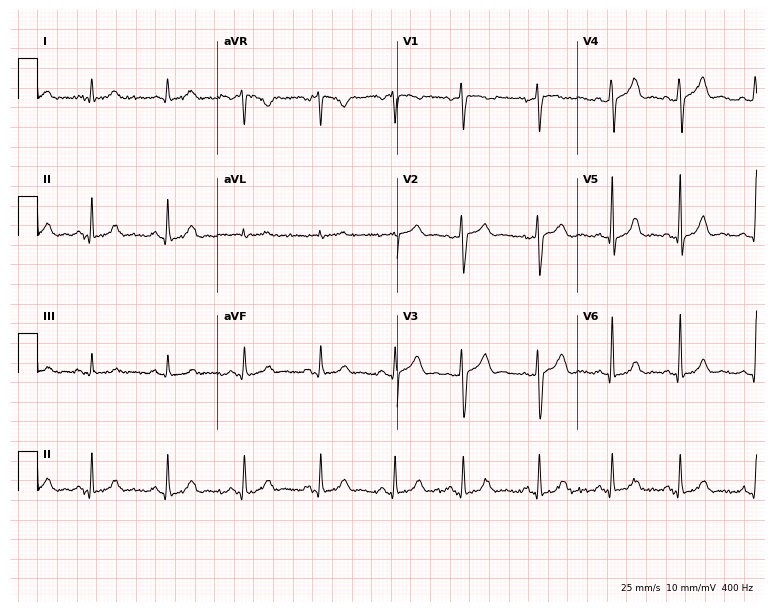
Electrocardiogram (7.3-second recording at 400 Hz), a man, 57 years old. Of the six screened findings (first-degree AV block, right bundle branch block (RBBB), left bundle branch block (LBBB), sinus bradycardia, atrial fibrillation (AF), sinus tachycardia), none is recorded.